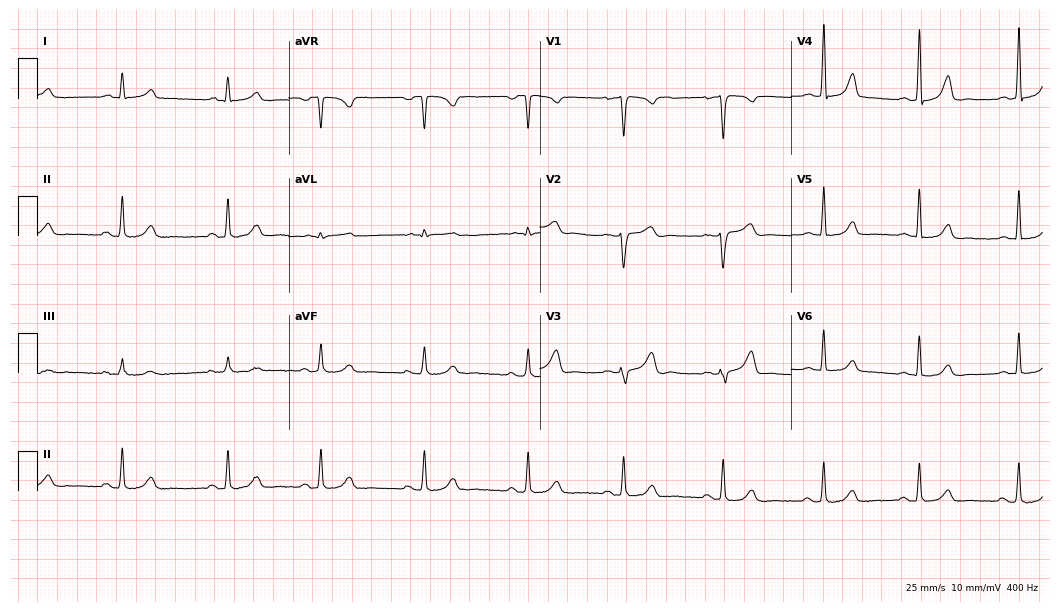
Electrocardiogram, a 36-year-old woman. Overall reading on record: normal ECG.